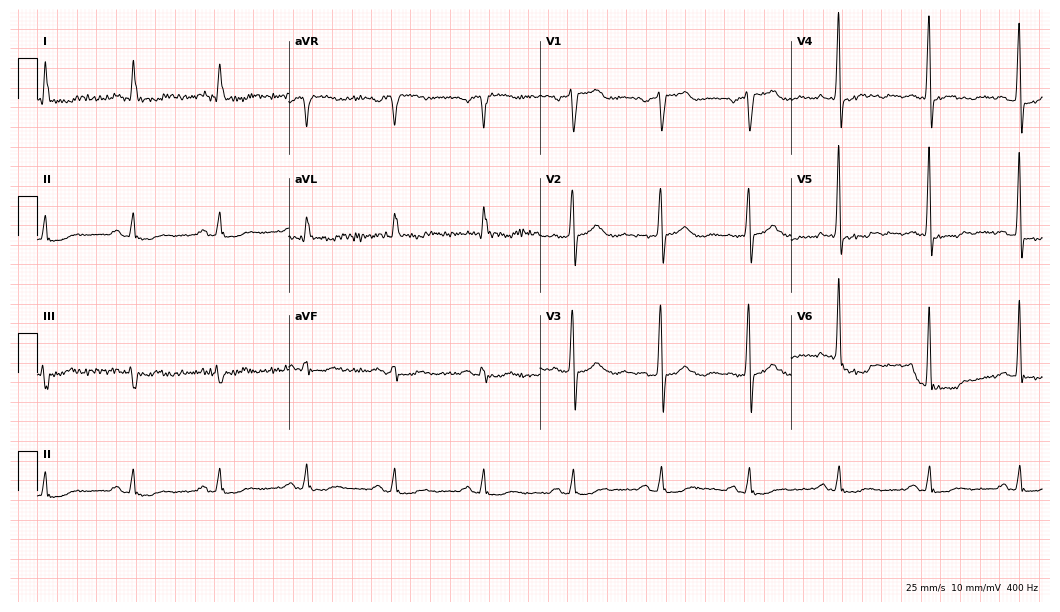
Resting 12-lead electrocardiogram. Patient: a 66-year-old man. None of these six findings is recorded: first-degree AV block, right bundle branch block, left bundle branch block, sinus bradycardia, atrial fibrillation, sinus tachycardia. Only these six findings were labelled.